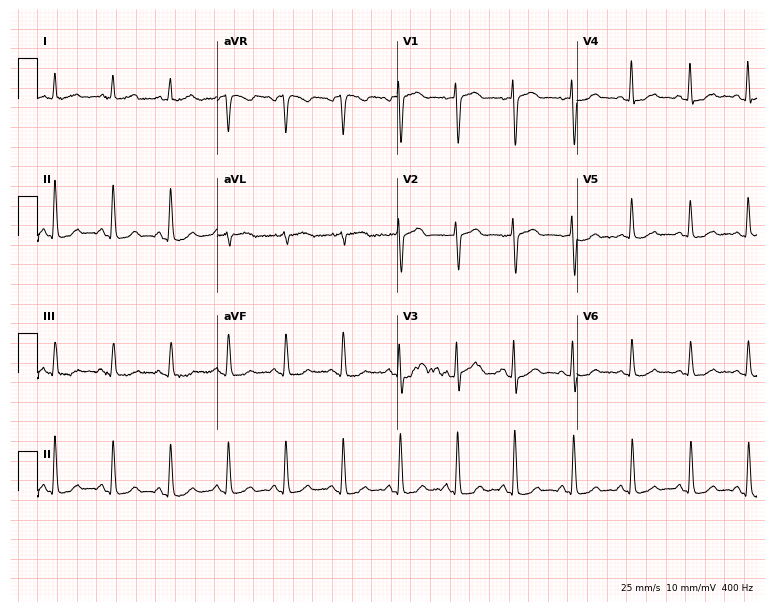
ECG — a 34-year-old female patient. Labelled as a normal ECG.